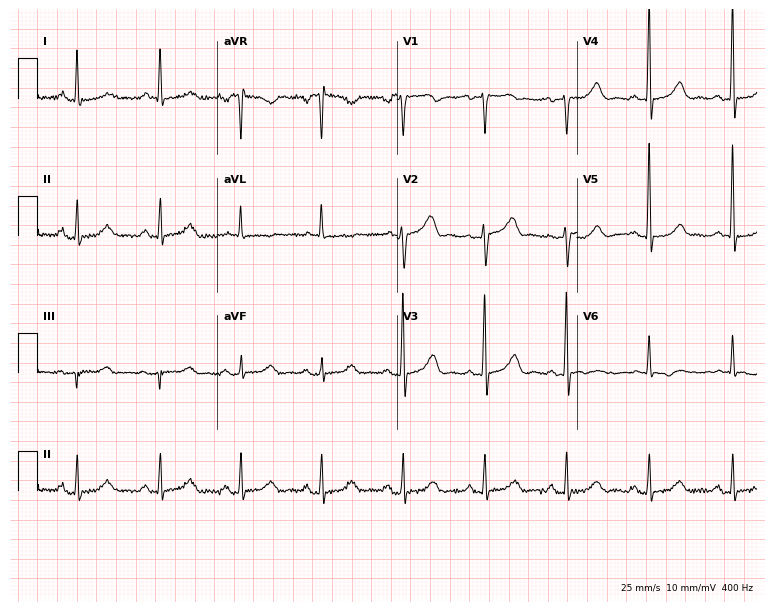
ECG — a woman, 78 years old. Labelled as a normal ECG.